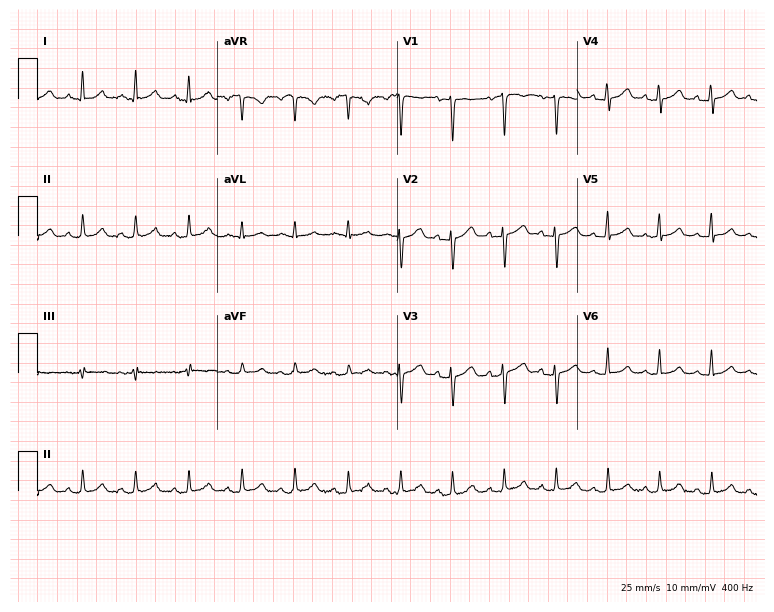
12-lead ECG from a female, 43 years old. Shows sinus tachycardia (a sinus rate of 100 beats per minute or more).